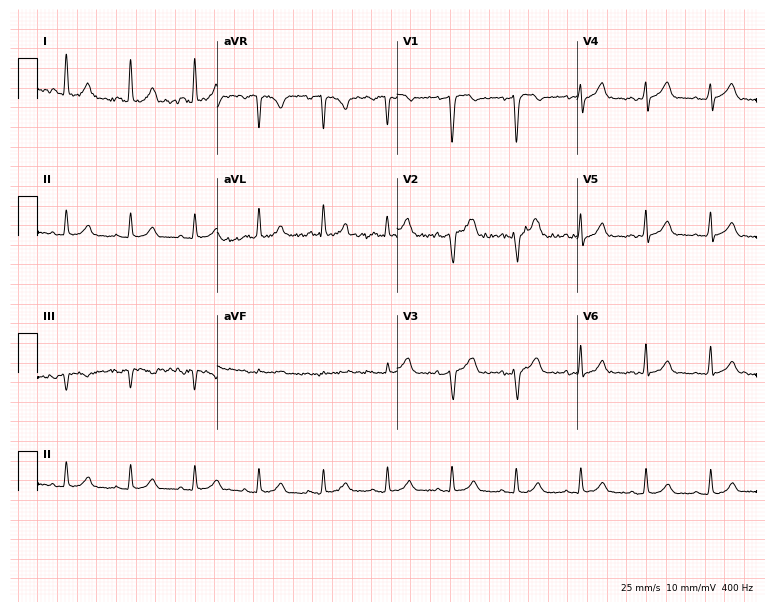
Standard 12-lead ECG recorded from a 59-year-old female (7.3-second recording at 400 Hz). None of these six findings is recorded: first-degree AV block, right bundle branch block, left bundle branch block, sinus bradycardia, atrial fibrillation, sinus tachycardia. Other findings, if any, are not listed.